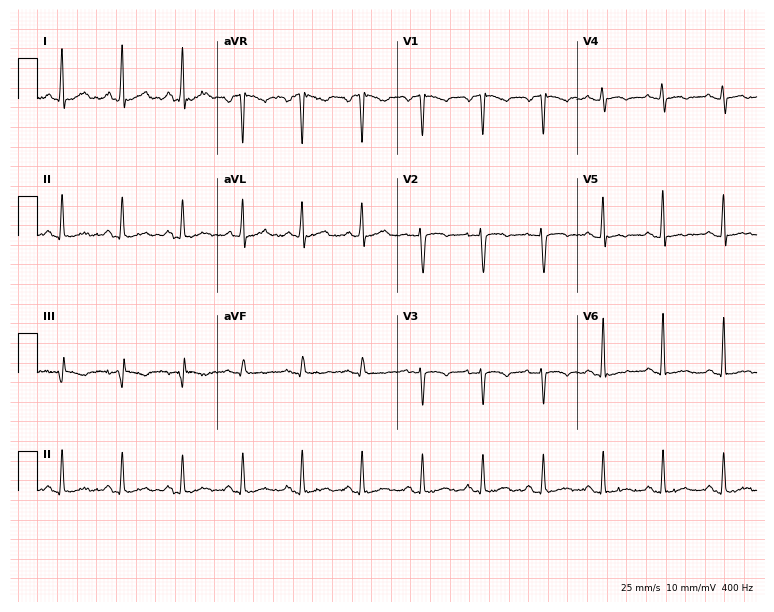
Electrocardiogram (7.3-second recording at 400 Hz), a 30-year-old female. Of the six screened findings (first-degree AV block, right bundle branch block, left bundle branch block, sinus bradycardia, atrial fibrillation, sinus tachycardia), none is recorded. Findings outside these six are not listed.